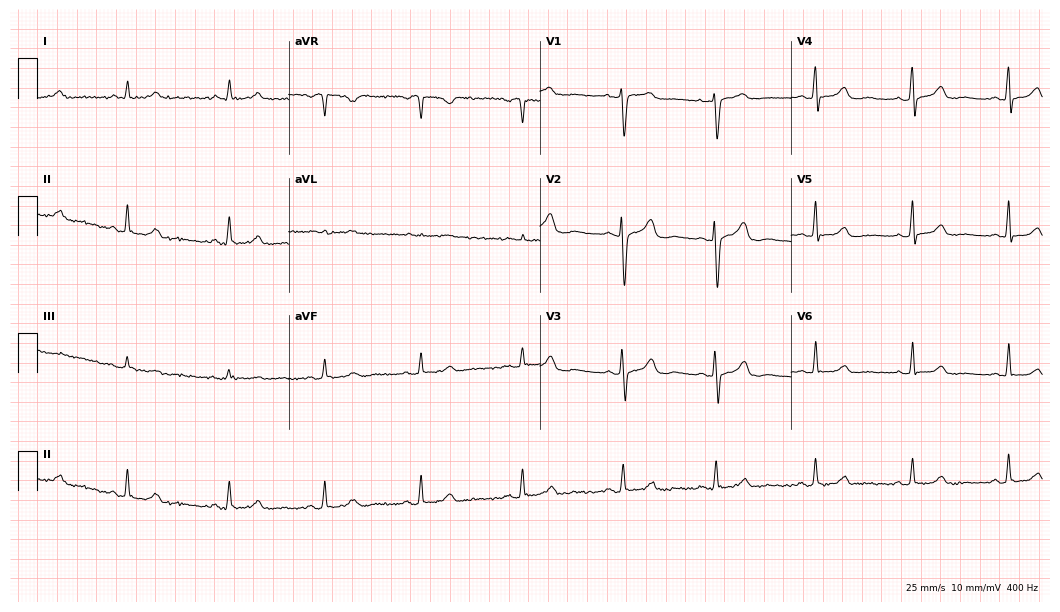
ECG — a man, 48 years old. Labelled as a normal ECG.